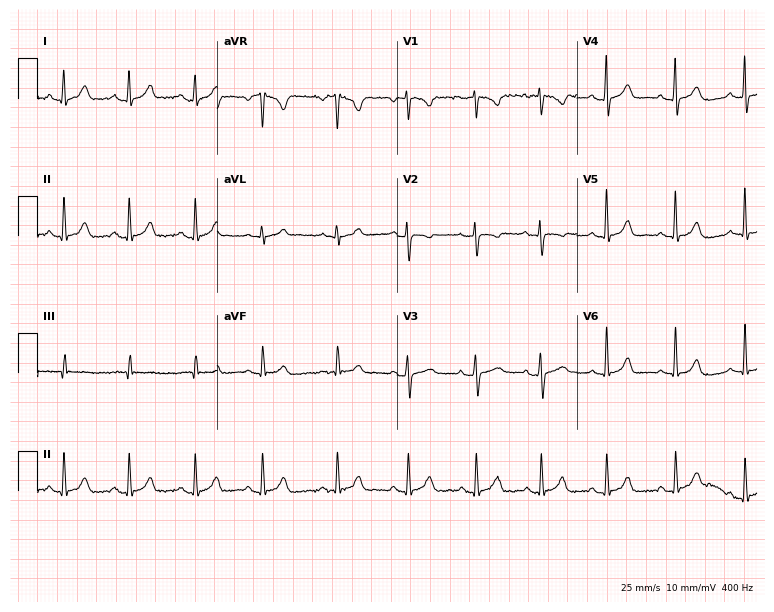
12-lead ECG from a 17-year-old female patient. Recorded interpretation: within normal limits.